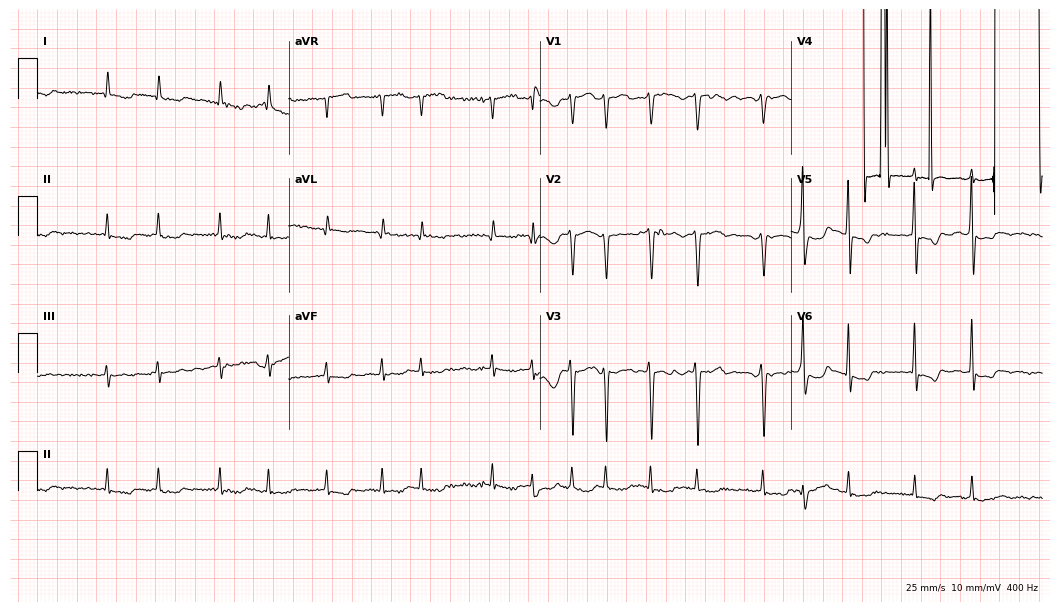
ECG — a 79-year-old female patient. Findings include atrial fibrillation.